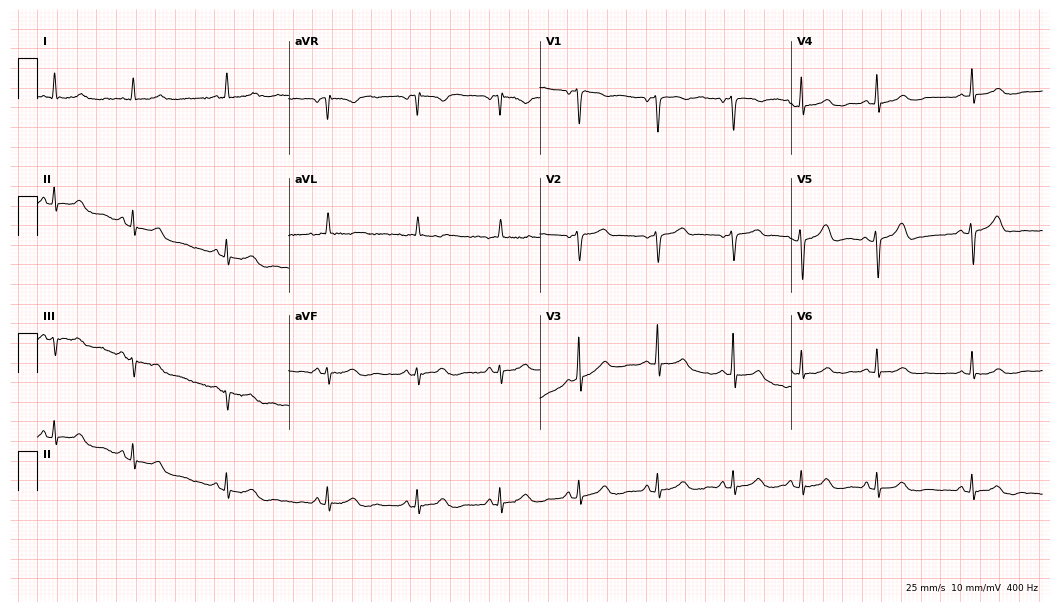
12-lead ECG from a 62-year-old woman. Labelled as a normal ECG.